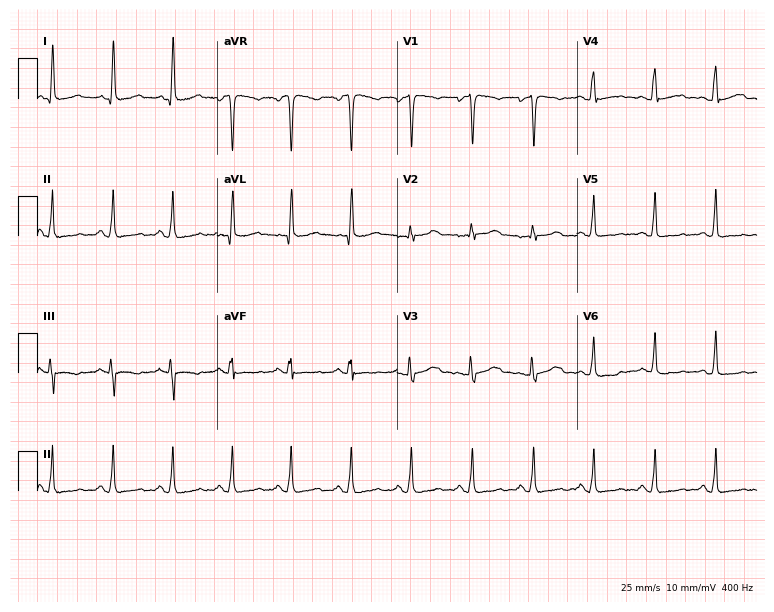
Resting 12-lead electrocardiogram. Patient: a 42-year-old woman. None of these six findings is recorded: first-degree AV block, right bundle branch block, left bundle branch block, sinus bradycardia, atrial fibrillation, sinus tachycardia. Findings outside these six are not listed.